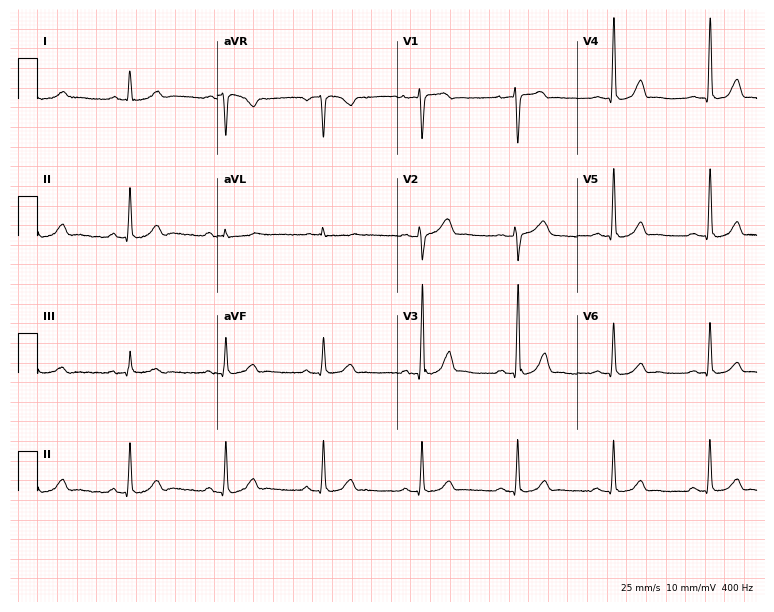
12-lead ECG from a man, 56 years old. No first-degree AV block, right bundle branch block (RBBB), left bundle branch block (LBBB), sinus bradycardia, atrial fibrillation (AF) or sinus tachycardia recorded for this tracing.